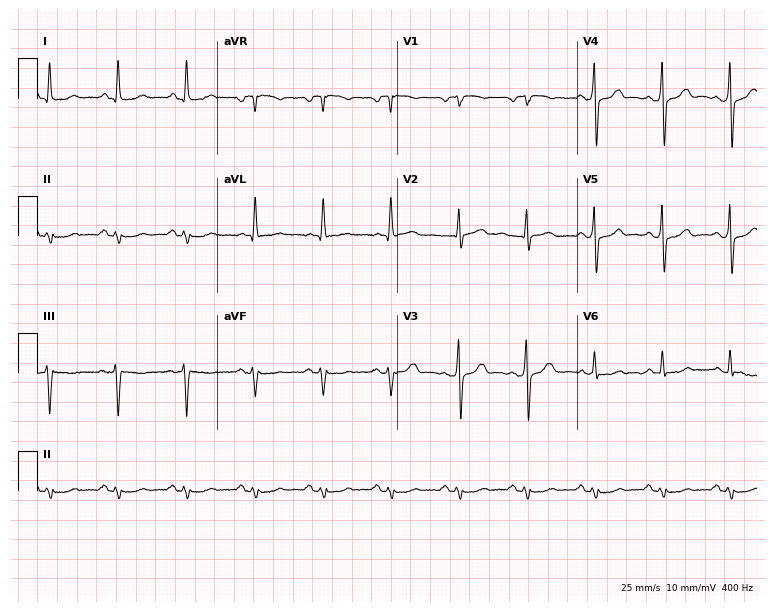
ECG (7.3-second recording at 400 Hz) — a 76-year-old man. Screened for six findings — first-degree AV block, right bundle branch block, left bundle branch block, sinus bradycardia, atrial fibrillation, sinus tachycardia — none is recorded.